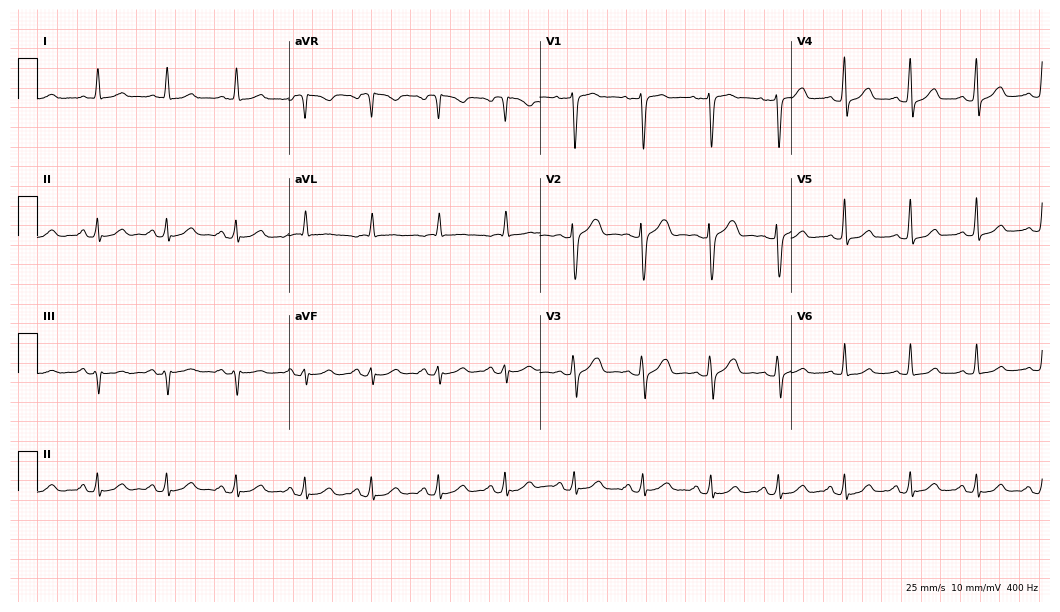
12-lead ECG (10.2-second recording at 400 Hz) from a woman, 60 years old. Labelled as a normal ECG.